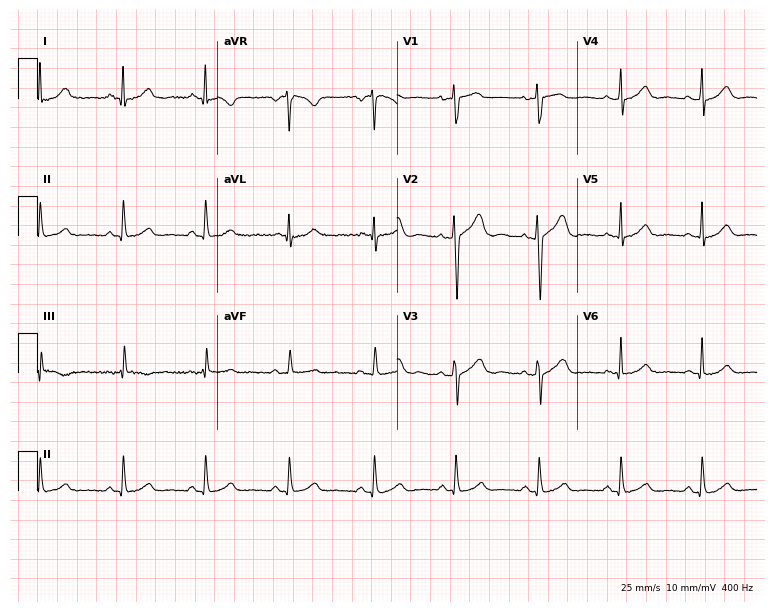
12-lead ECG (7.3-second recording at 400 Hz) from a woman, 23 years old. Screened for six findings — first-degree AV block, right bundle branch block, left bundle branch block, sinus bradycardia, atrial fibrillation, sinus tachycardia — none is recorded.